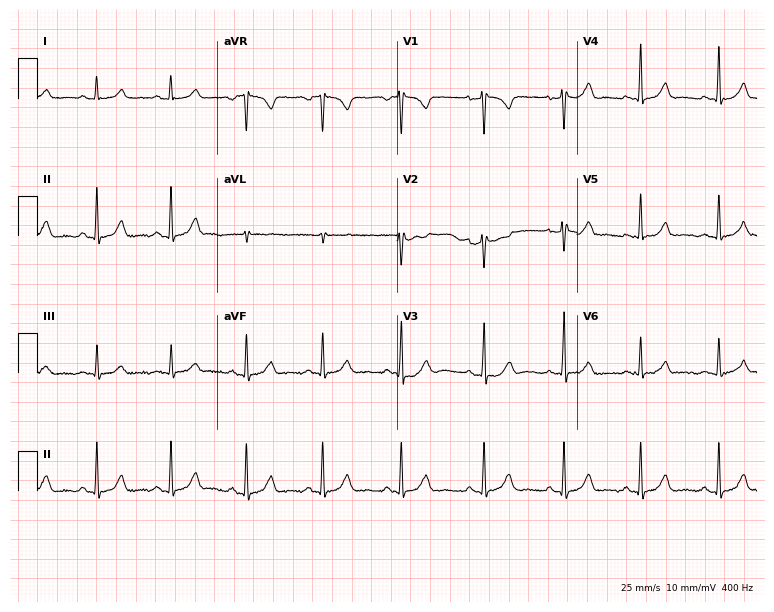
Resting 12-lead electrocardiogram (7.3-second recording at 400 Hz). Patient: a woman, 27 years old. Read as a normal ECG.